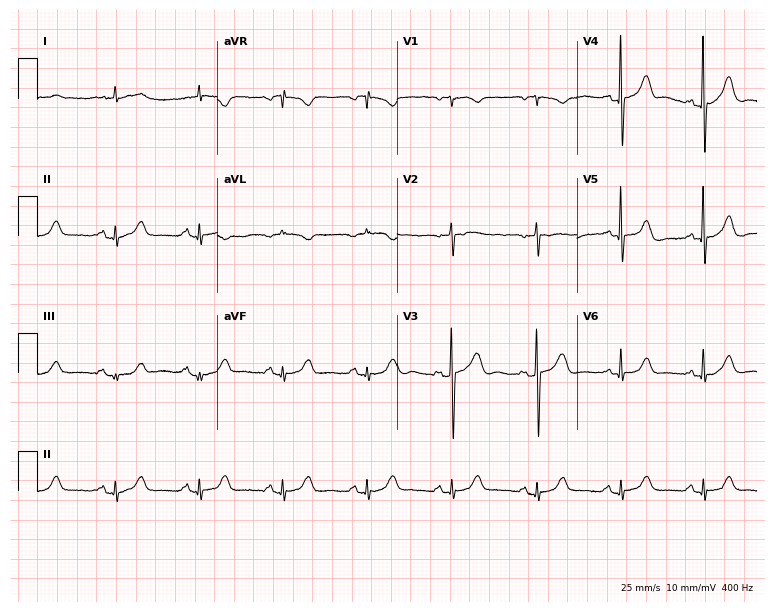
12-lead ECG from an 85-year-old woman (7.3-second recording at 400 Hz). Recorded interpretation: within normal limits.